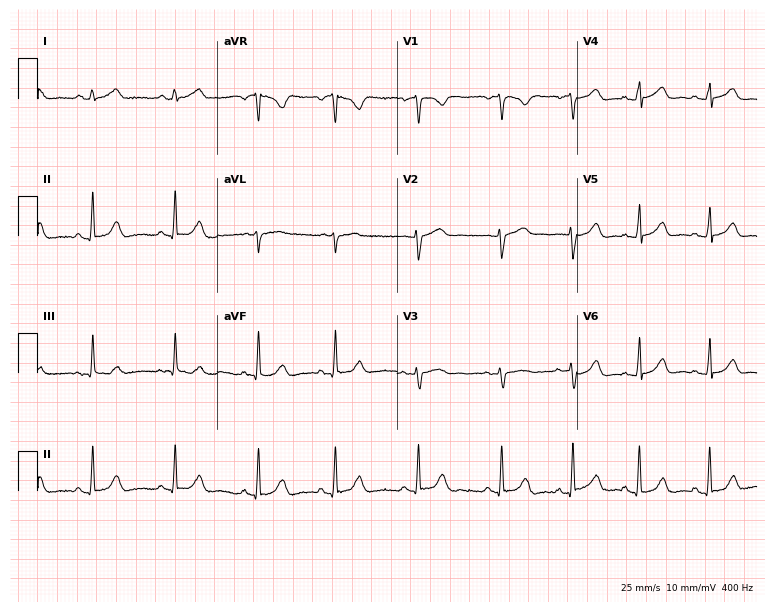
Electrocardiogram, a female, 21 years old. Overall reading on record: normal ECG.